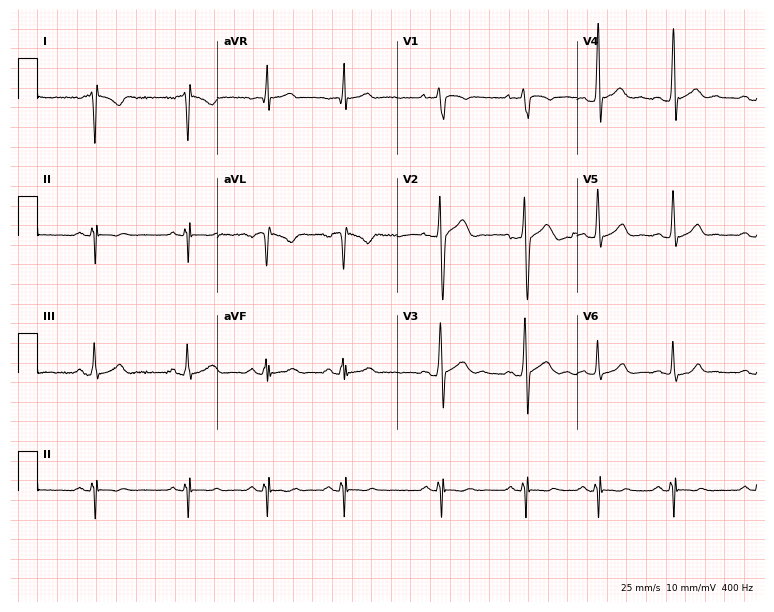
Resting 12-lead electrocardiogram. Patient: a 19-year-old male. None of these six findings is recorded: first-degree AV block, right bundle branch block, left bundle branch block, sinus bradycardia, atrial fibrillation, sinus tachycardia. Findings outside these six are not listed.